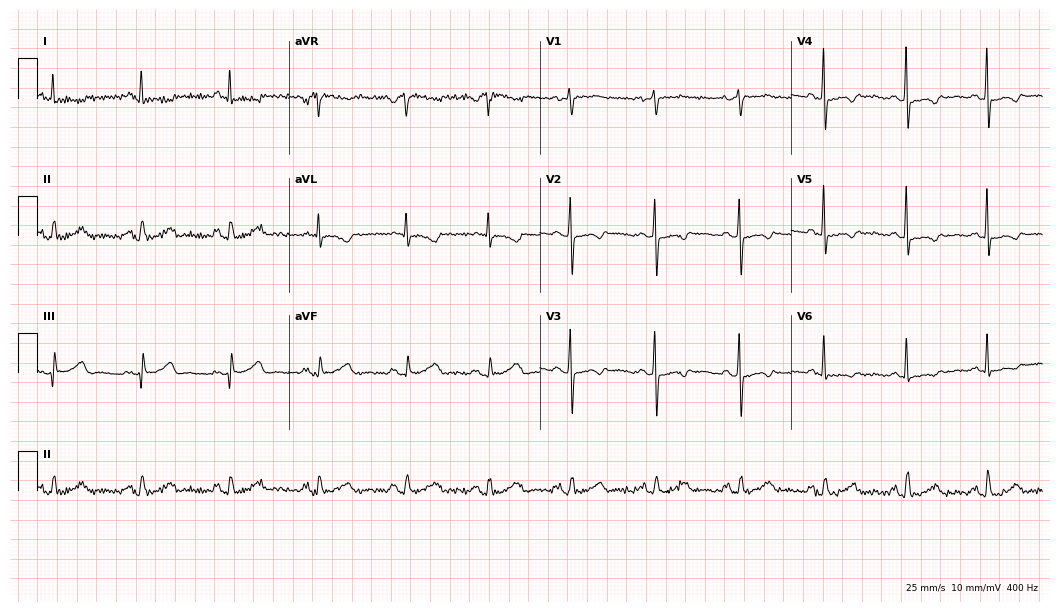
Resting 12-lead electrocardiogram (10.2-second recording at 400 Hz). Patient: a 47-year-old female. None of these six findings is recorded: first-degree AV block, right bundle branch block (RBBB), left bundle branch block (LBBB), sinus bradycardia, atrial fibrillation (AF), sinus tachycardia.